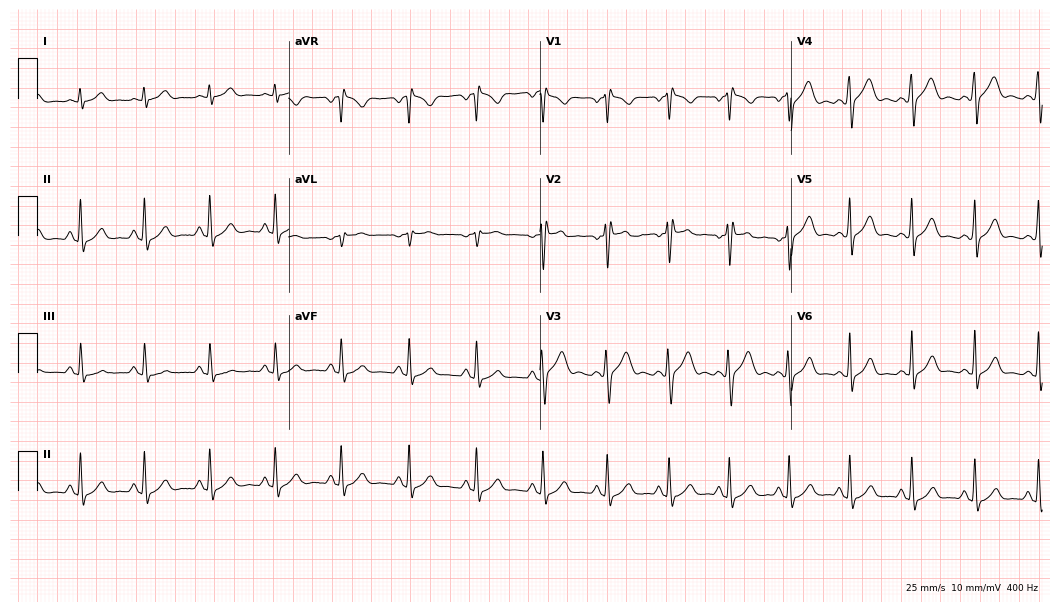
Electrocardiogram, a 29-year-old male patient. Of the six screened findings (first-degree AV block, right bundle branch block, left bundle branch block, sinus bradycardia, atrial fibrillation, sinus tachycardia), none is recorded. Other findings, if any, are not listed.